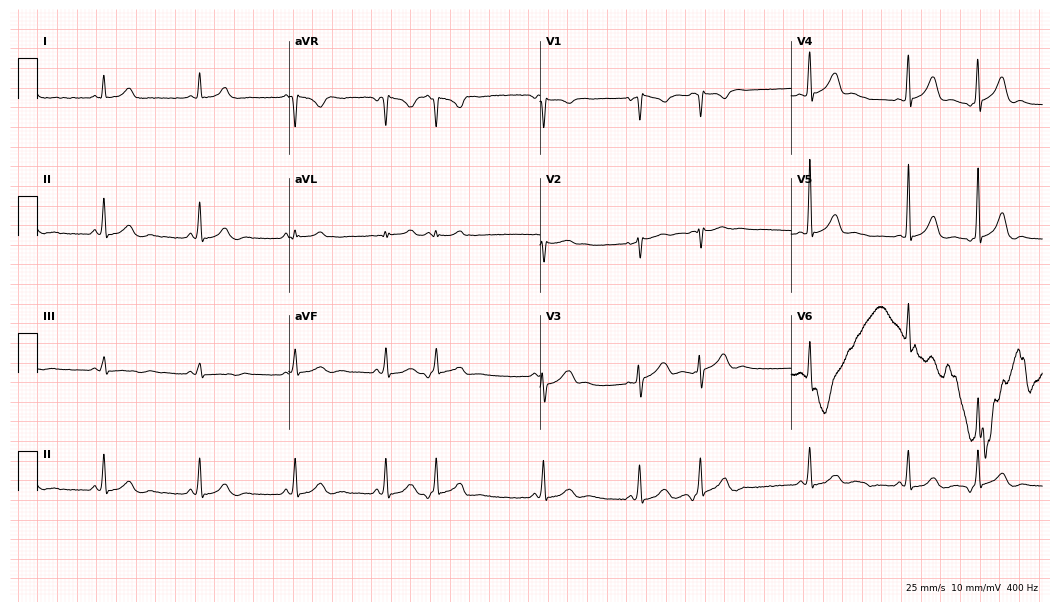
ECG — a 35-year-old female patient. Labelled as a normal ECG.